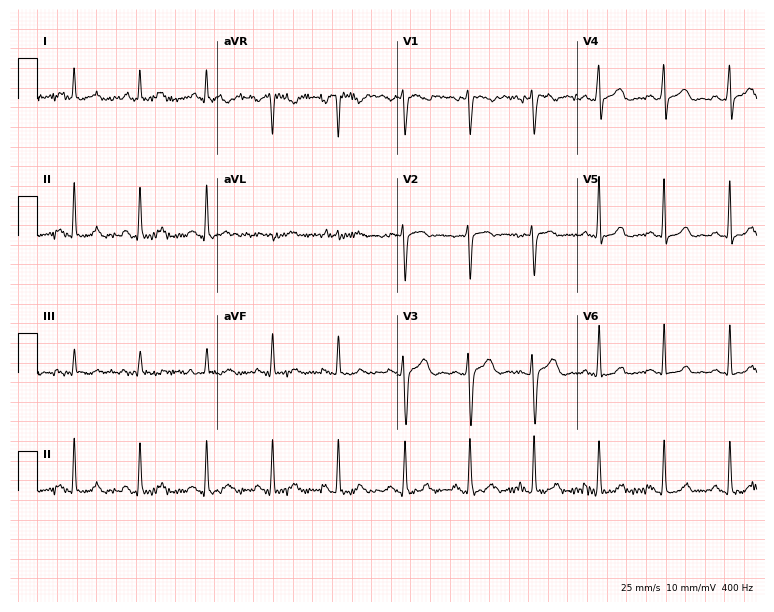
12-lead ECG from a 38-year-old female patient. Labelled as a normal ECG.